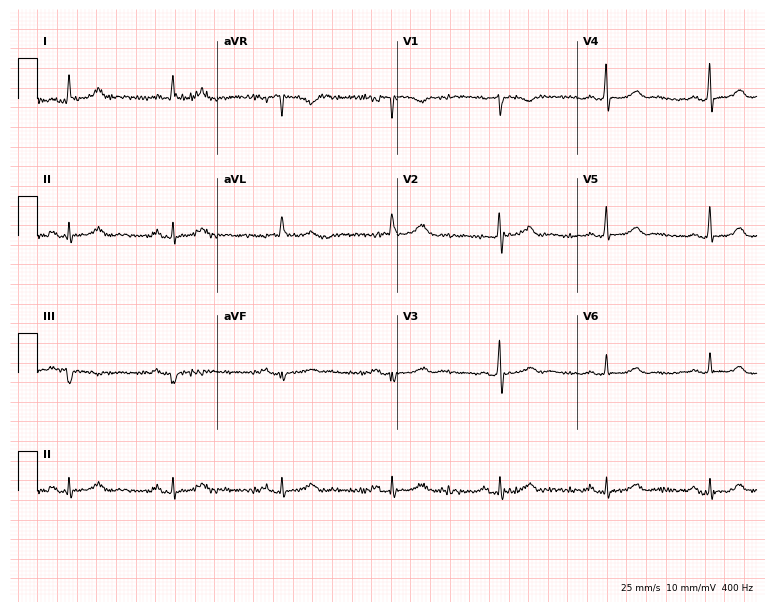
ECG — a 69-year-old female. Screened for six findings — first-degree AV block, right bundle branch block, left bundle branch block, sinus bradycardia, atrial fibrillation, sinus tachycardia — none is recorded. Other findings, if any, are not listed.